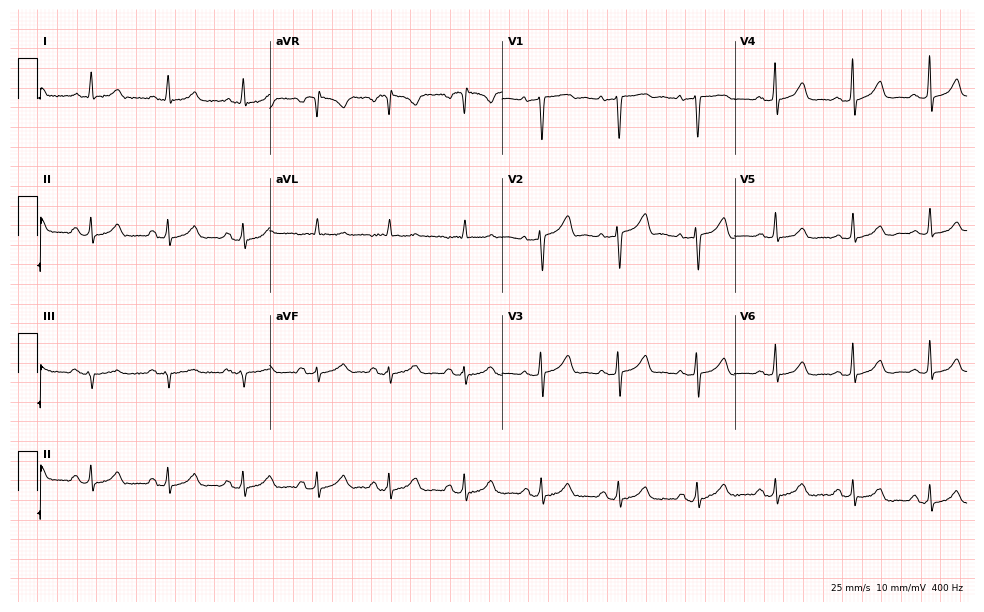
ECG (9.5-second recording at 400 Hz) — a 44-year-old female patient. Screened for six findings — first-degree AV block, right bundle branch block (RBBB), left bundle branch block (LBBB), sinus bradycardia, atrial fibrillation (AF), sinus tachycardia — none is recorded.